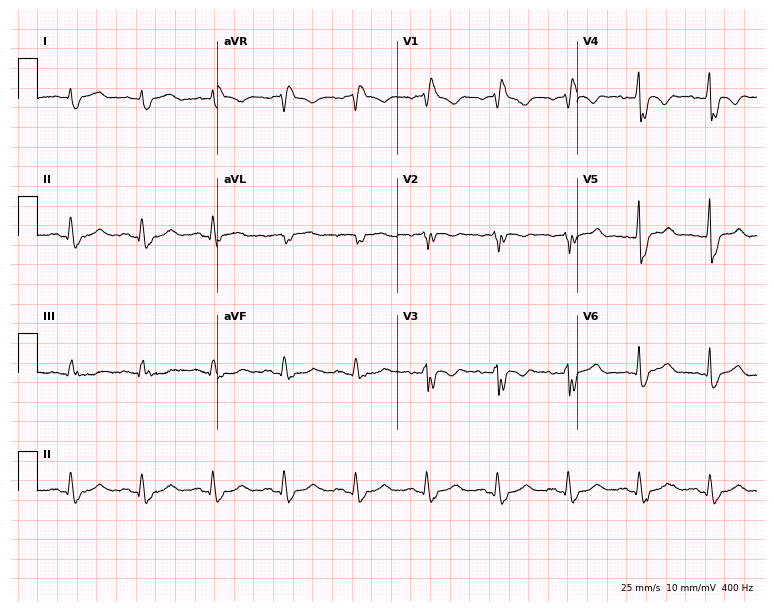
12-lead ECG from a male, 68 years old. Shows right bundle branch block.